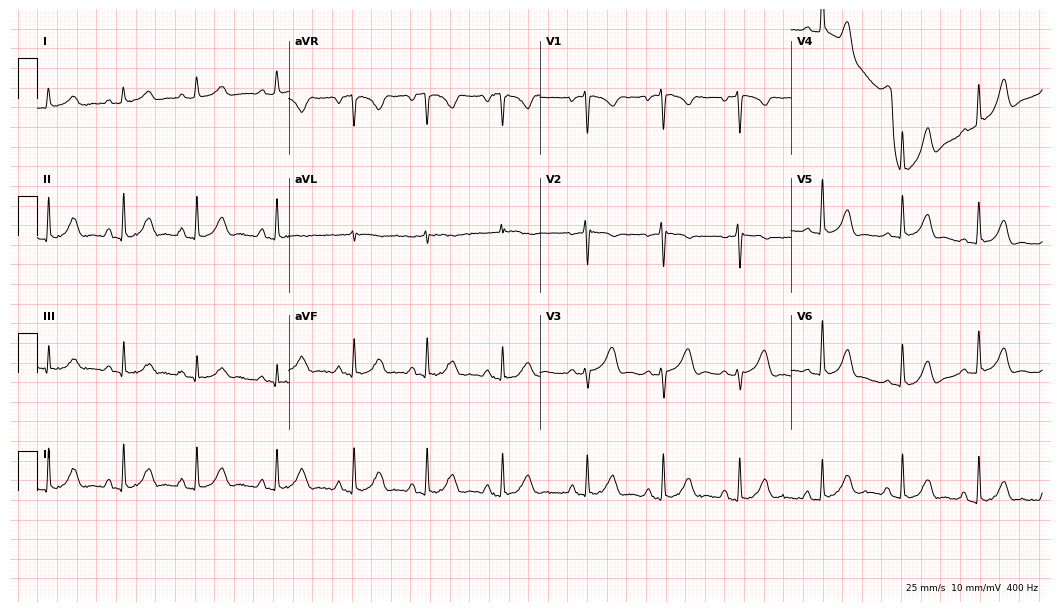
Electrocardiogram, a female patient, 25 years old. Overall reading on record: normal ECG.